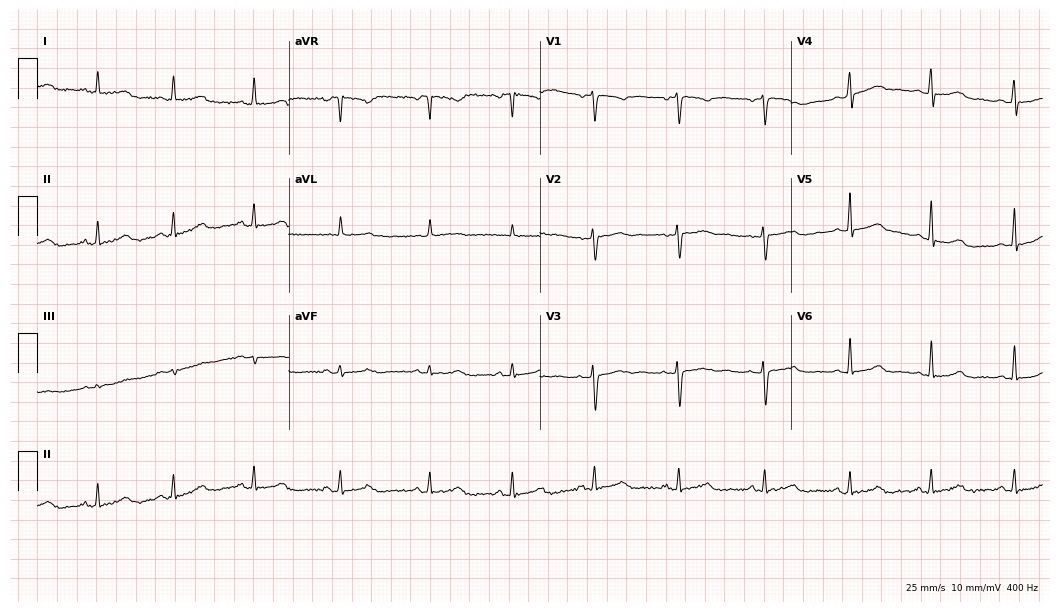
12-lead ECG from a 40-year-old female. No first-degree AV block, right bundle branch block, left bundle branch block, sinus bradycardia, atrial fibrillation or sinus tachycardia recorded for this tracing. Only these six findings were labelled.